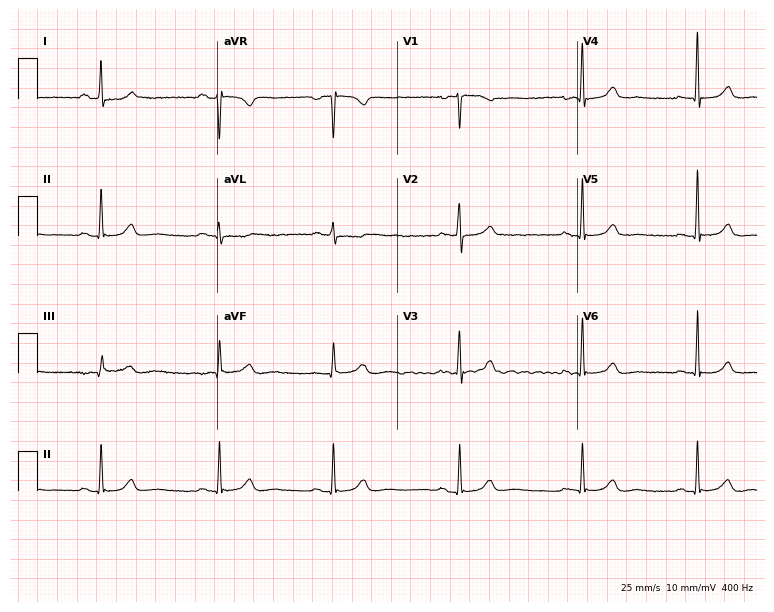
Electrocardiogram (7.3-second recording at 400 Hz), a 44-year-old female. Of the six screened findings (first-degree AV block, right bundle branch block, left bundle branch block, sinus bradycardia, atrial fibrillation, sinus tachycardia), none is recorded.